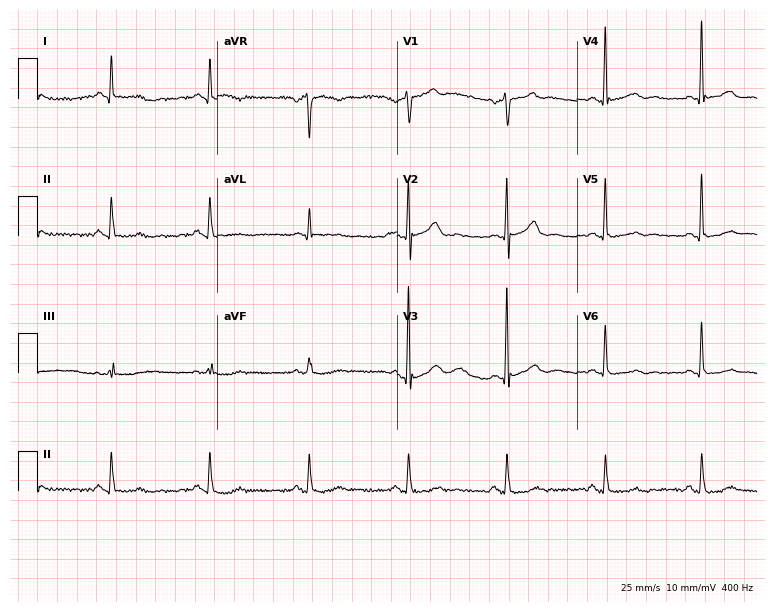
Electrocardiogram, a 44-year-old male patient. Of the six screened findings (first-degree AV block, right bundle branch block, left bundle branch block, sinus bradycardia, atrial fibrillation, sinus tachycardia), none is recorded. Only these six findings were labelled.